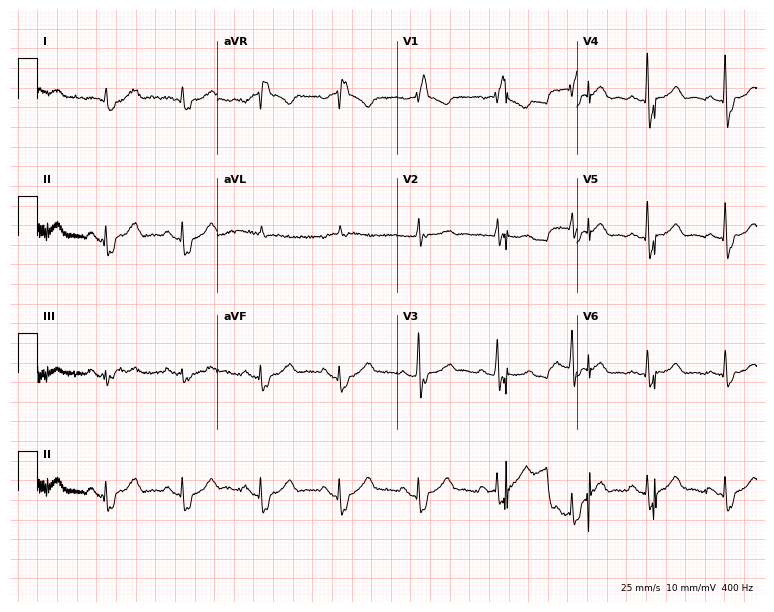
Resting 12-lead electrocardiogram (7.3-second recording at 400 Hz). Patient: a 79-year-old male. The tracing shows first-degree AV block, right bundle branch block.